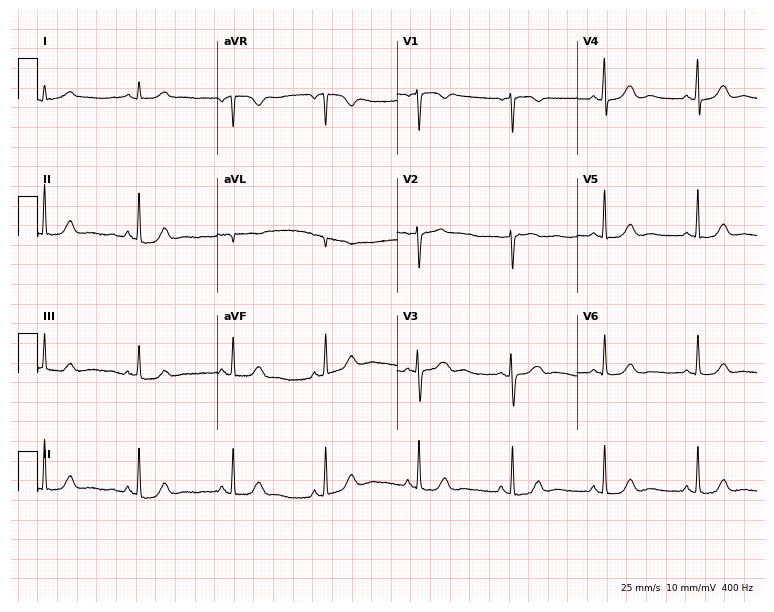
12-lead ECG from a woman, 45 years old. Labelled as a normal ECG.